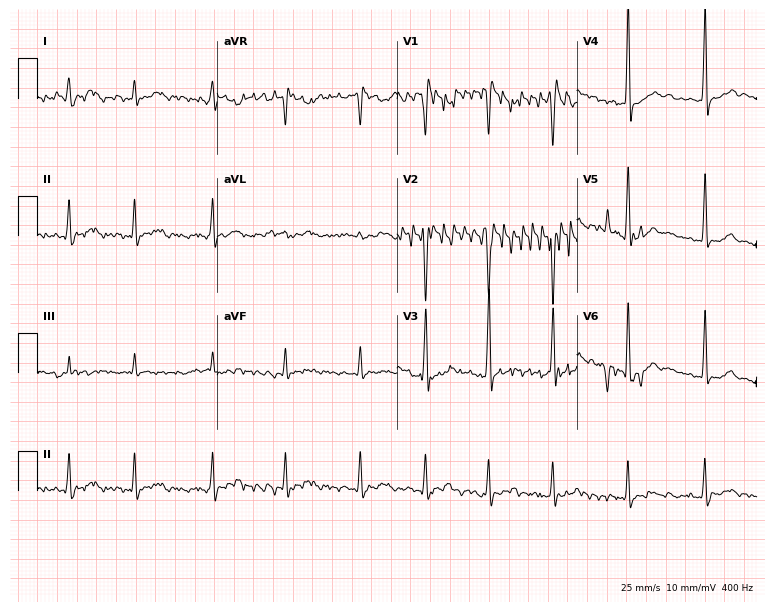
12-lead ECG from a male patient, 24 years old. No first-degree AV block, right bundle branch block, left bundle branch block, sinus bradycardia, atrial fibrillation or sinus tachycardia recorded for this tracing. Other findings, if any, are not listed.